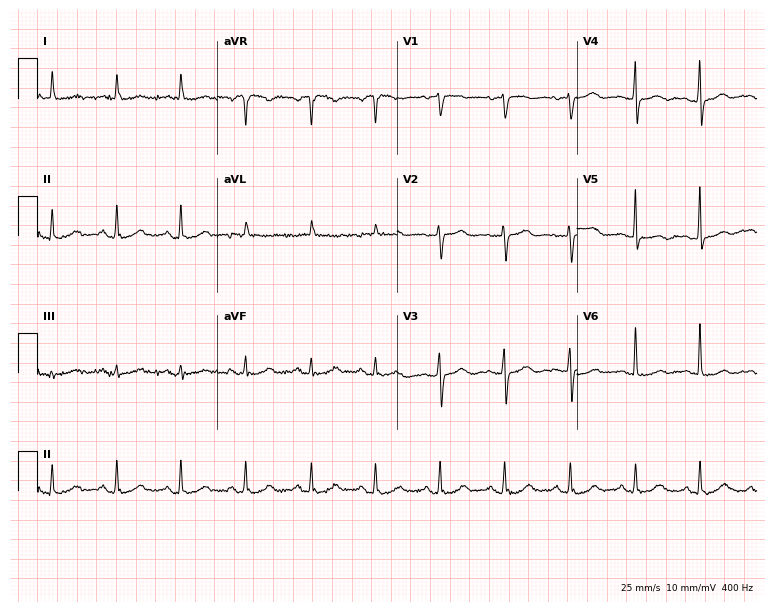
Electrocardiogram, a 74-year-old female patient. Of the six screened findings (first-degree AV block, right bundle branch block (RBBB), left bundle branch block (LBBB), sinus bradycardia, atrial fibrillation (AF), sinus tachycardia), none is recorded. Findings outside these six are not listed.